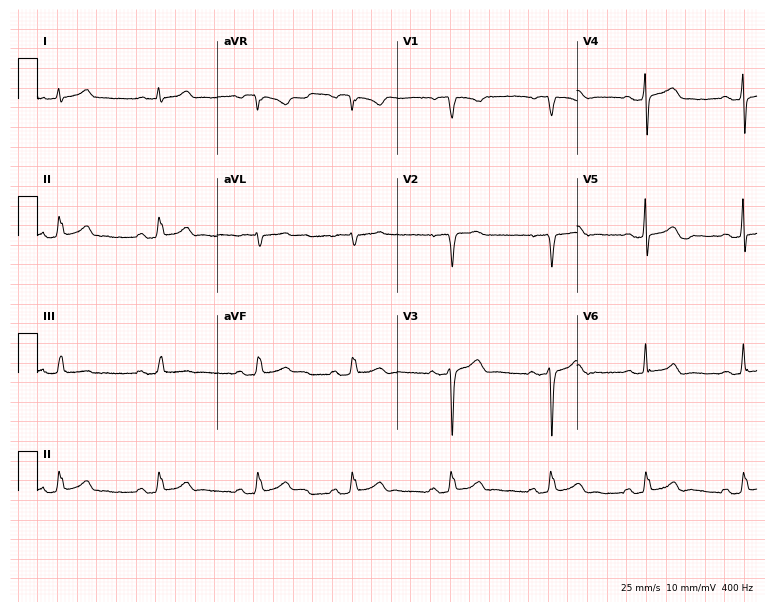
Standard 12-lead ECG recorded from a 60-year-old female (7.3-second recording at 400 Hz). Read as a normal ECG.